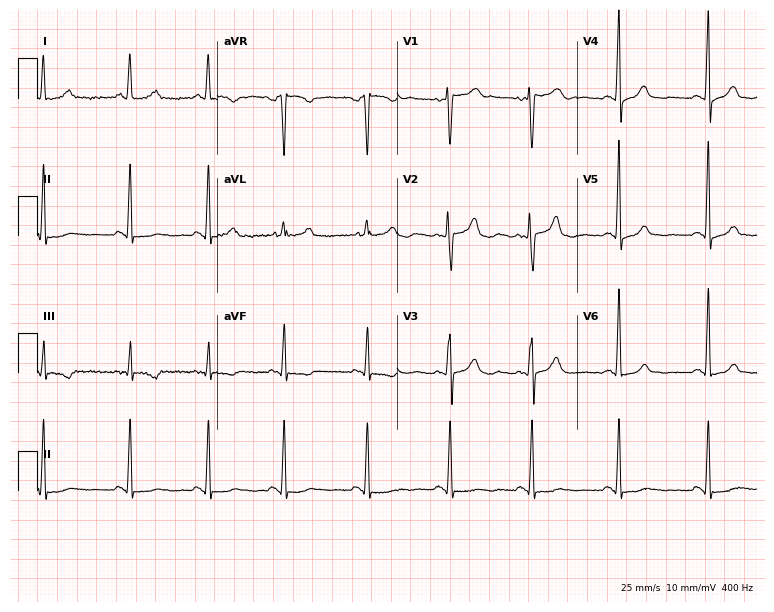
12-lead ECG from a 38-year-old female patient. No first-degree AV block, right bundle branch block (RBBB), left bundle branch block (LBBB), sinus bradycardia, atrial fibrillation (AF) or sinus tachycardia recorded for this tracing.